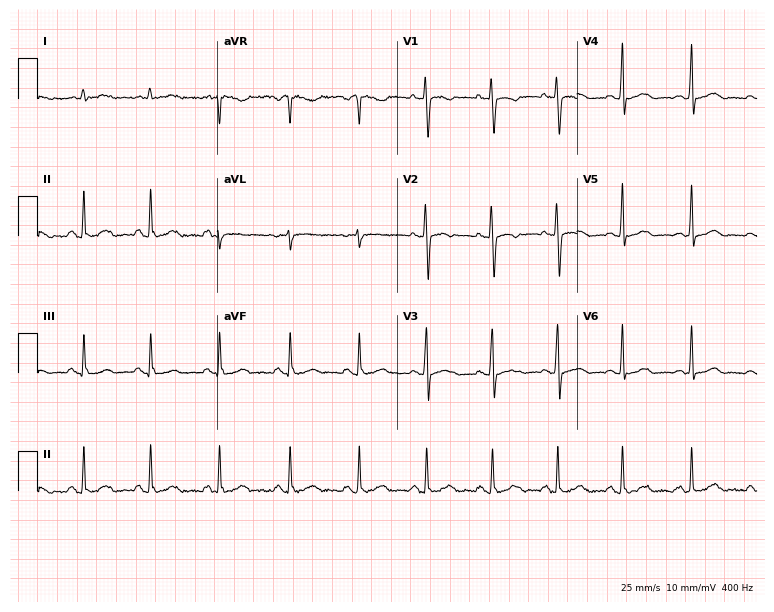
ECG (7.3-second recording at 400 Hz) — a female, 28 years old. Screened for six findings — first-degree AV block, right bundle branch block (RBBB), left bundle branch block (LBBB), sinus bradycardia, atrial fibrillation (AF), sinus tachycardia — none is recorded.